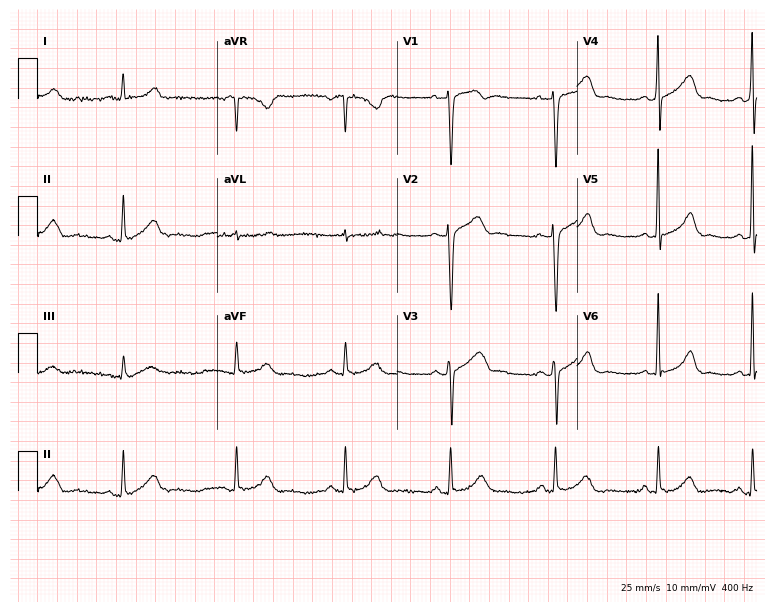
12-lead ECG (7.3-second recording at 400 Hz) from a woman, 59 years old. Labelled as a normal ECG.